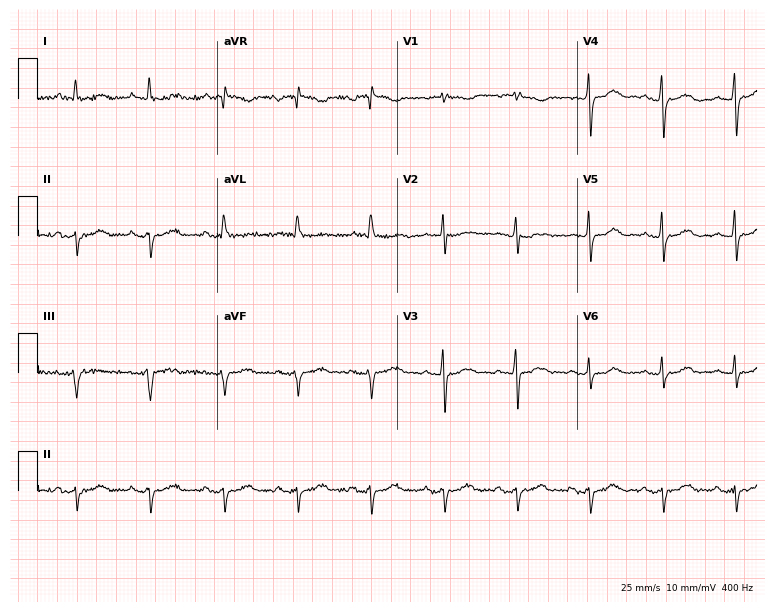
ECG (7.3-second recording at 400 Hz) — a 58-year-old female. Screened for six findings — first-degree AV block, right bundle branch block (RBBB), left bundle branch block (LBBB), sinus bradycardia, atrial fibrillation (AF), sinus tachycardia — none is recorded. Other findings, if any, are not listed.